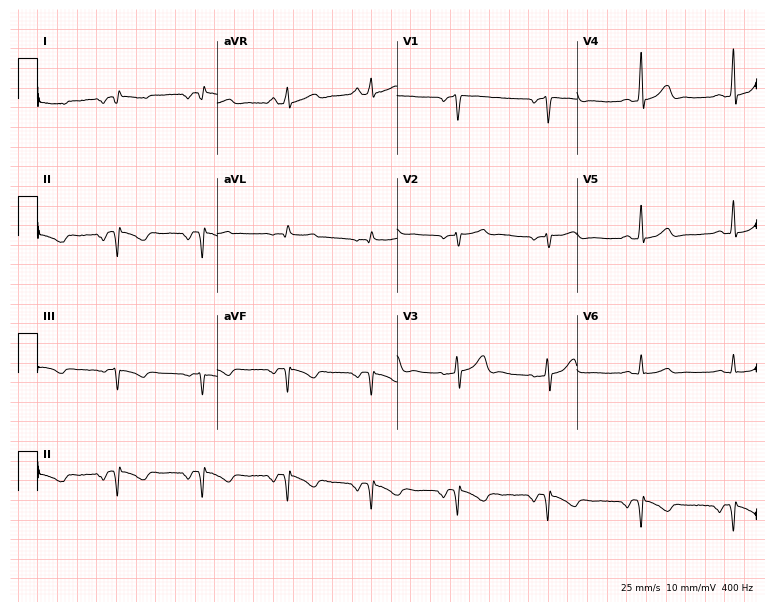
Standard 12-lead ECG recorded from a 55-year-old man. None of these six findings is recorded: first-degree AV block, right bundle branch block, left bundle branch block, sinus bradycardia, atrial fibrillation, sinus tachycardia. Only these six findings were labelled.